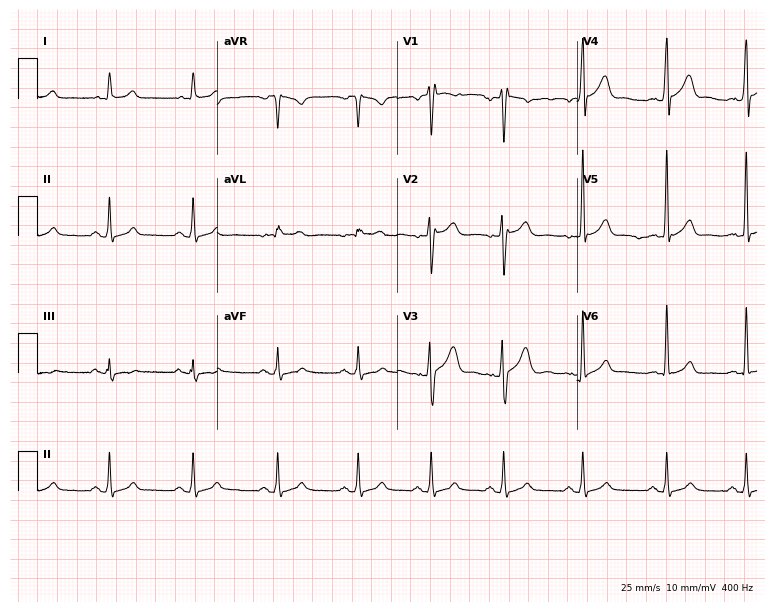
ECG — a 22-year-old man. Screened for six findings — first-degree AV block, right bundle branch block (RBBB), left bundle branch block (LBBB), sinus bradycardia, atrial fibrillation (AF), sinus tachycardia — none is recorded.